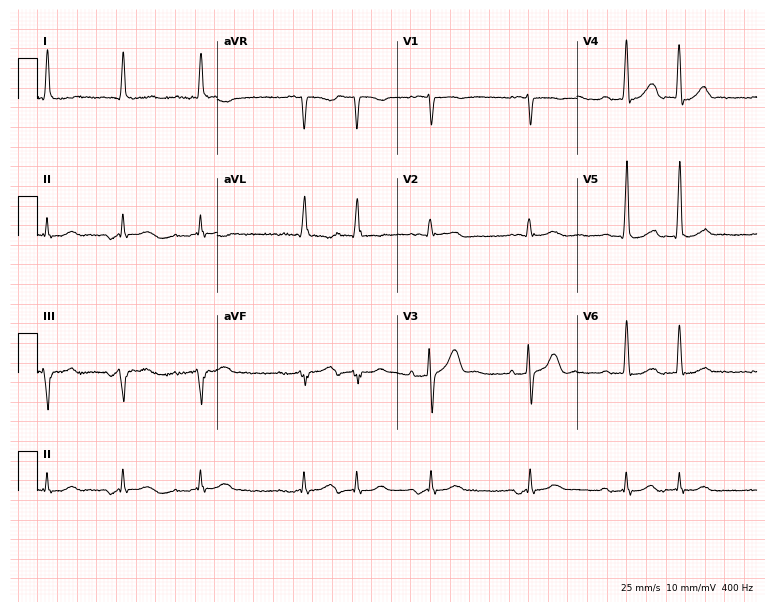
Resting 12-lead electrocardiogram (7.3-second recording at 400 Hz). Patient: an 85-year-old man. None of these six findings is recorded: first-degree AV block, right bundle branch block (RBBB), left bundle branch block (LBBB), sinus bradycardia, atrial fibrillation (AF), sinus tachycardia. Only these six findings were labelled.